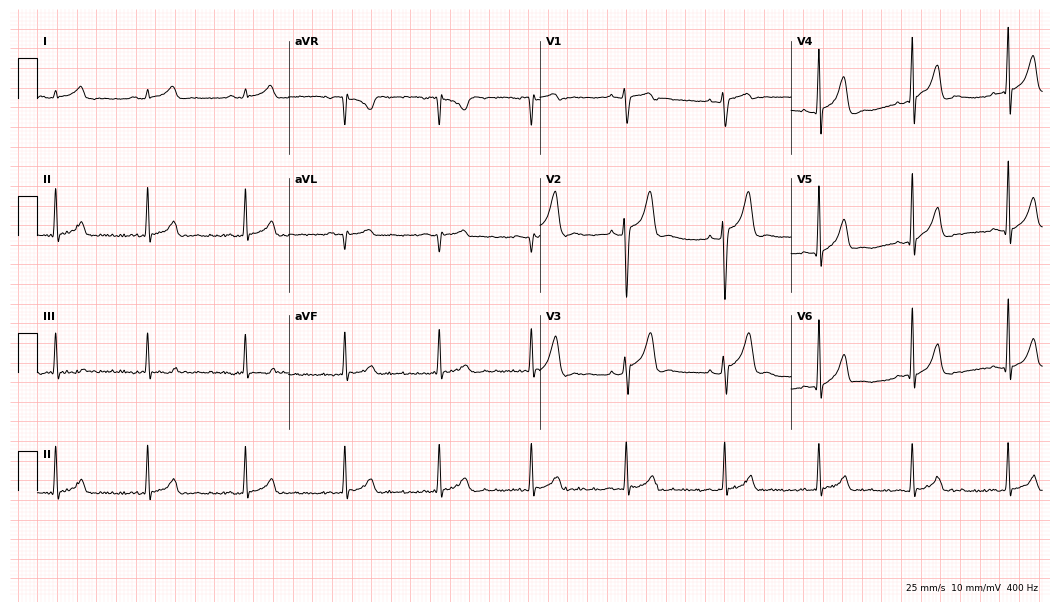
ECG — a male, 22 years old. Screened for six findings — first-degree AV block, right bundle branch block, left bundle branch block, sinus bradycardia, atrial fibrillation, sinus tachycardia — none is recorded.